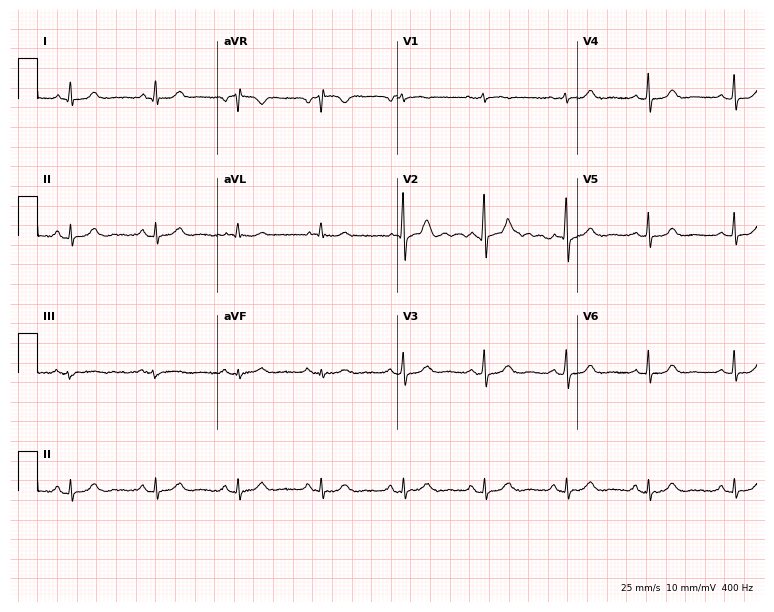
Resting 12-lead electrocardiogram (7.3-second recording at 400 Hz). Patient: a 66-year-old male. Read as a normal ECG.